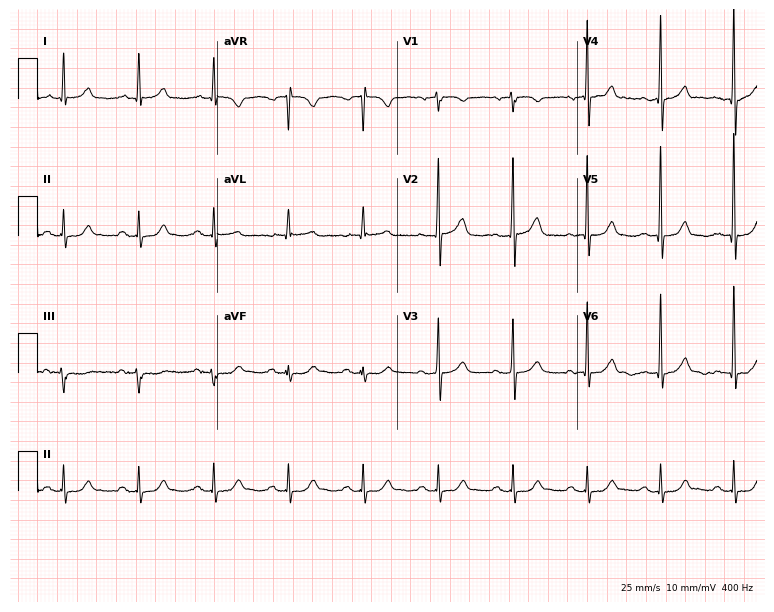
Standard 12-lead ECG recorded from a female patient, 78 years old (7.3-second recording at 400 Hz). Read as a normal ECG.